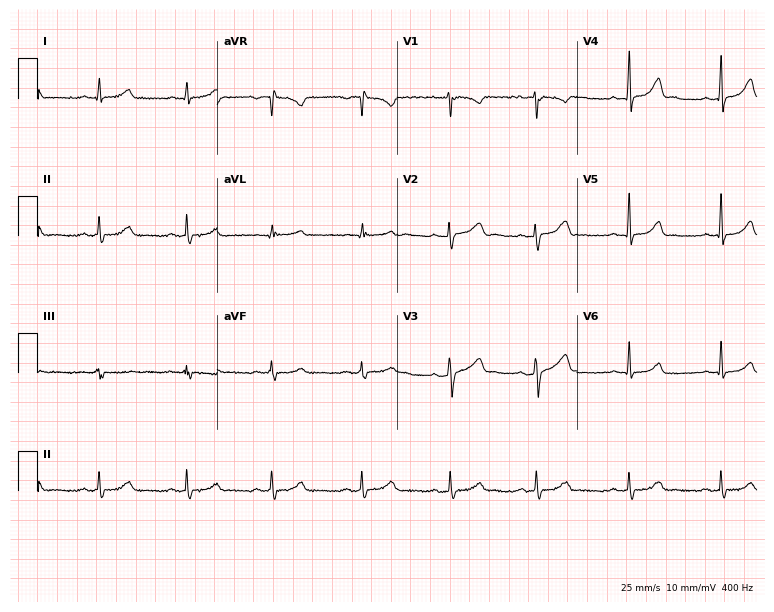
12-lead ECG from a woman, 21 years old. Labelled as a normal ECG.